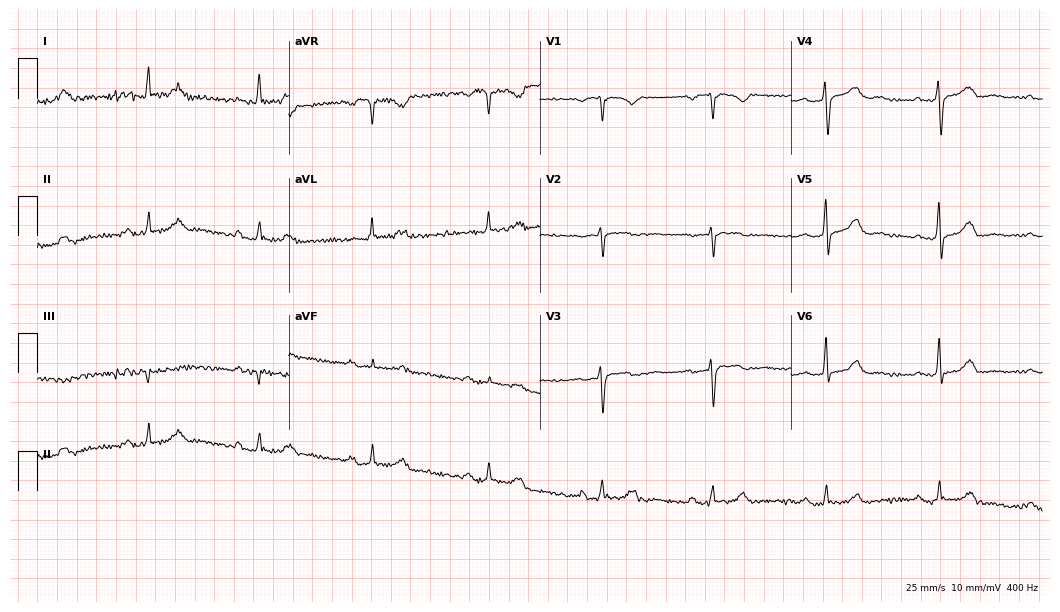
12-lead ECG (10.2-second recording at 400 Hz) from a female, 68 years old. Screened for six findings — first-degree AV block, right bundle branch block, left bundle branch block, sinus bradycardia, atrial fibrillation, sinus tachycardia — none is recorded.